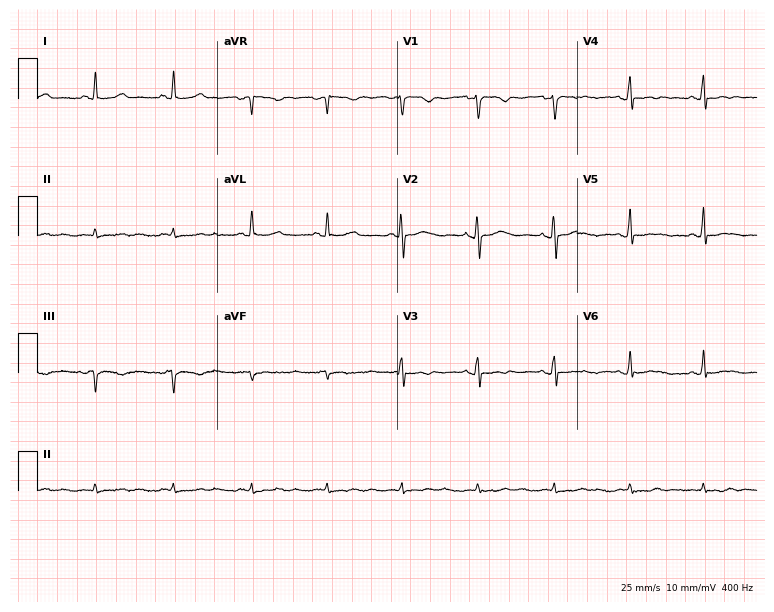
Standard 12-lead ECG recorded from a 41-year-old female. None of these six findings is recorded: first-degree AV block, right bundle branch block, left bundle branch block, sinus bradycardia, atrial fibrillation, sinus tachycardia. Findings outside these six are not listed.